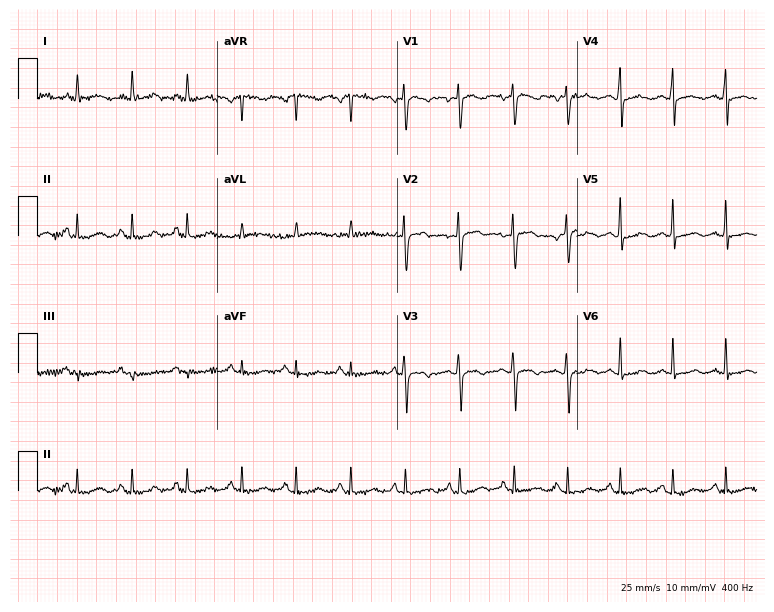
12-lead ECG from a female, 28 years old. Shows sinus tachycardia (a sinus rate of 100 beats per minute or more).